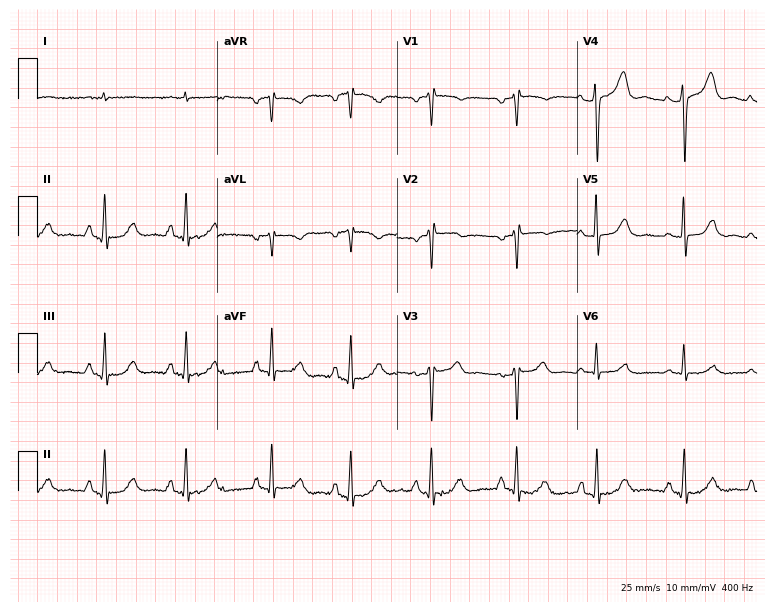
Electrocardiogram, a 62-year-old male. Overall reading on record: normal ECG.